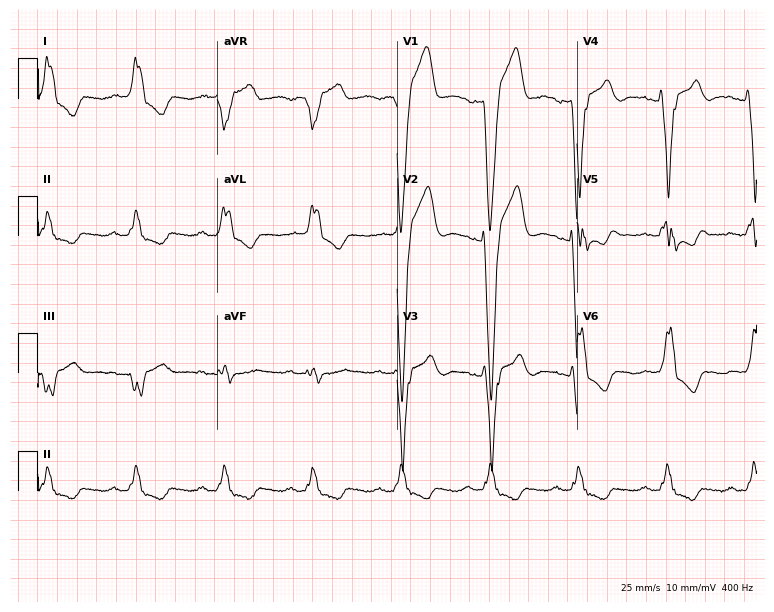
Standard 12-lead ECG recorded from a 75-year-old male patient (7.3-second recording at 400 Hz). The tracing shows left bundle branch block.